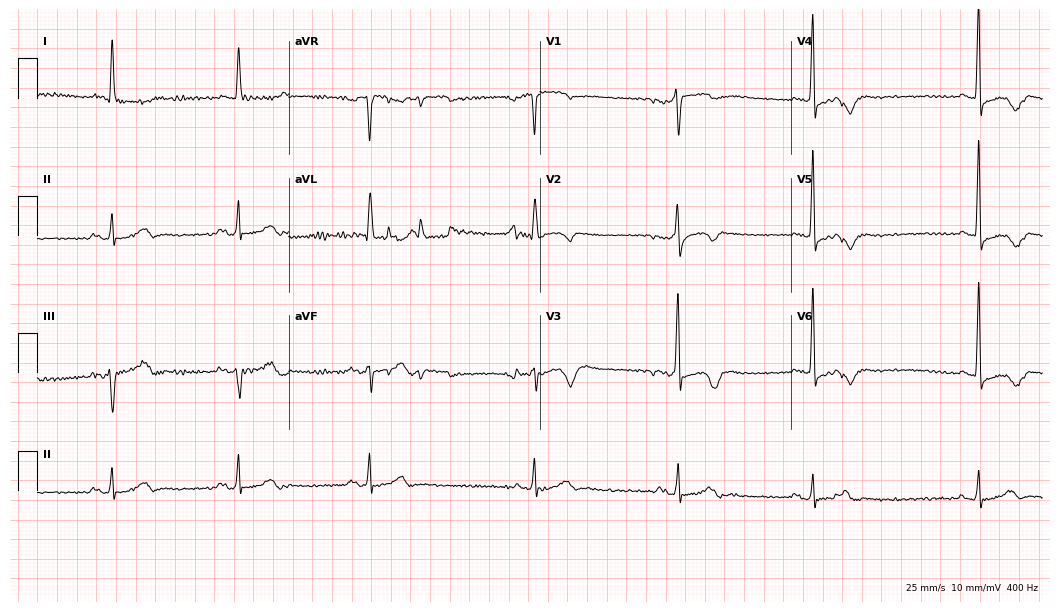
Electrocardiogram (10.2-second recording at 400 Hz), an 83-year-old female patient. Interpretation includes sinus bradycardia (a sinus rate of 50 beats per minute or less).